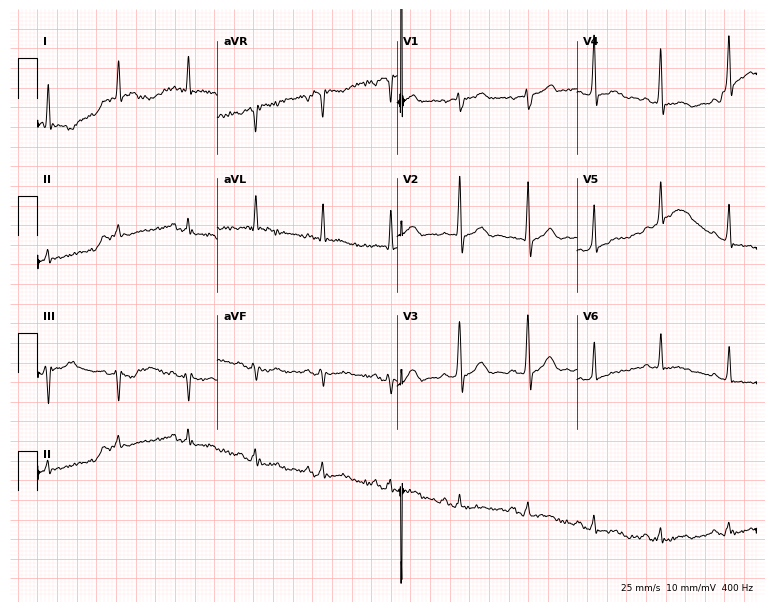
Standard 12-lead ECG recorded from a man, 66 years old (7.3-second recording at 400 Hz). None of these six findings is recorded: first-degree AV block, right bundle branch block (RBBB), left bundle branch block (LBBB), sinus bradycardia, atrial fibrillation (AF), sinus tachycardia. Findings outside these six are not listed.